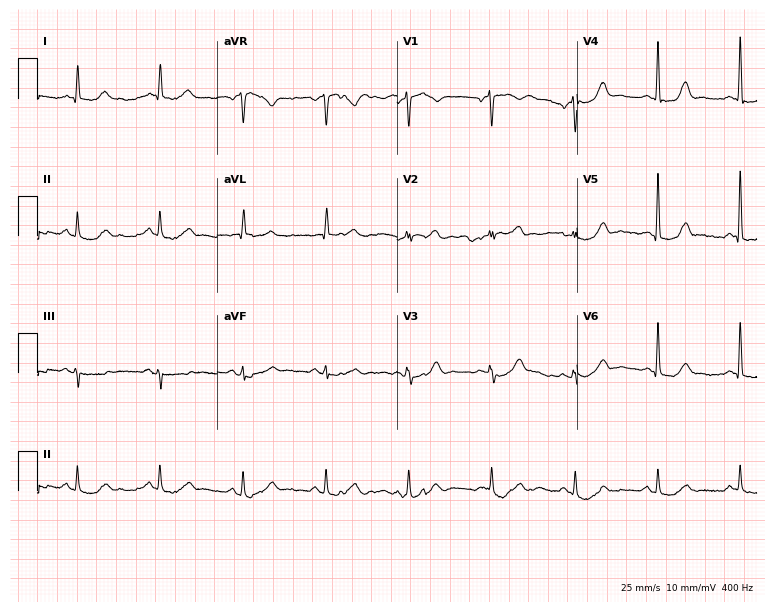
12-lead ECG from a 77-year-old female patient. Labelled as a normal ECG.